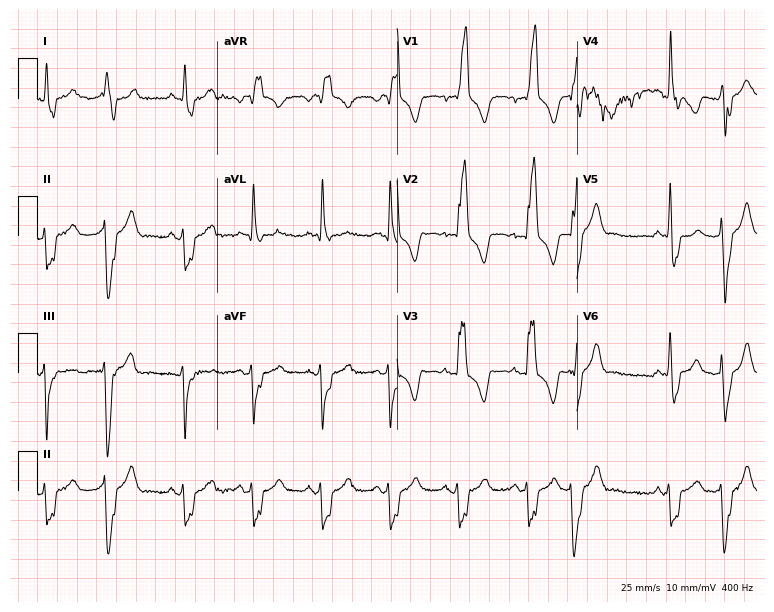
Resting 12-lead electrocardiogram. Patient: a woman, 61 years old. None of these six findings is recorded: first-degree AV block, right bundle branch block, left bundle branch block, sinus bradycardia, atrial fibrillation, sinus tachycardia.